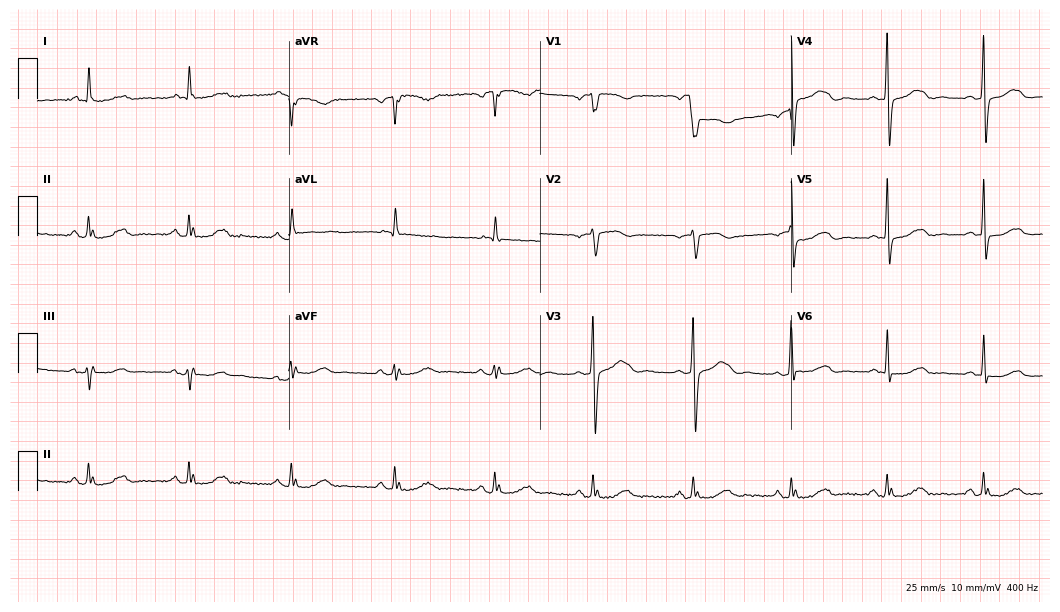
Standard 12-lead ECG recorded from a woman, 81 years old. None of these six findings is recorded: first-degree AV block, right bundle branch block (RBBB), left bundle branch block (LBBB), sinus bradycardia, atrial fibrillation (AF), sinus tachycardia.